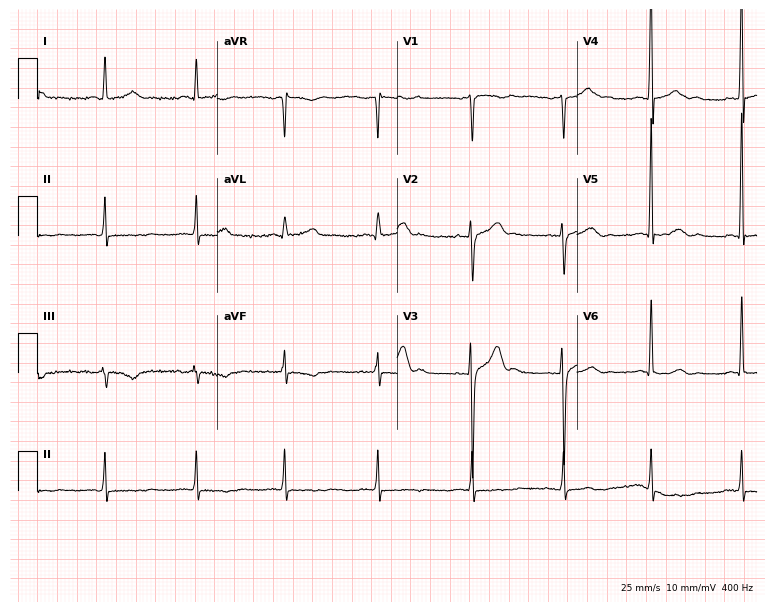
ECG (7.3-second recording at 400 Hz) — a 39-year-old male patient. Screened for six findings — first-degree AV block, right bundle branch block (RBBB), left bundle branch block (LBBB), sinus bradycardia, atrial fibrillation (AF), sinus tachycardia — none is recorded. Other findings, if any, are not listed.